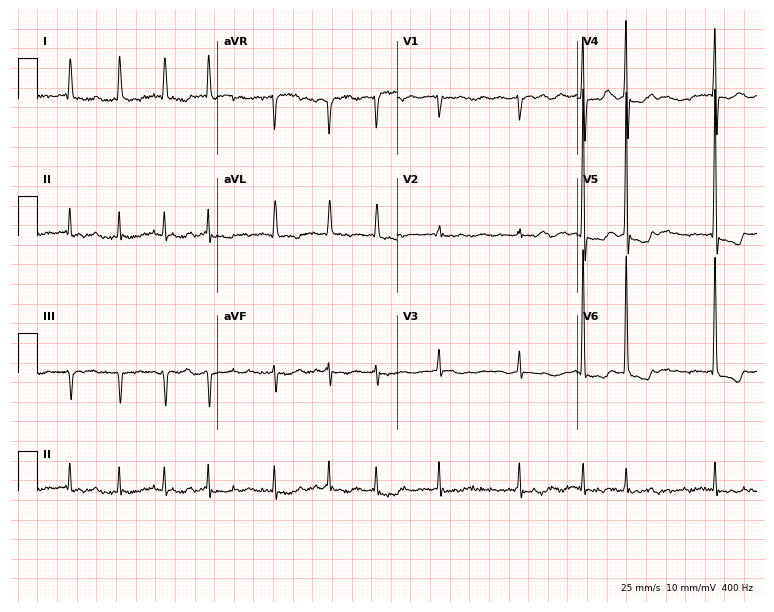
Standard 12-lead ECG recorded from a 78-year-old female (7.3-second recording at 400 Hz). The tracing shows atrial fibrillation (AF).